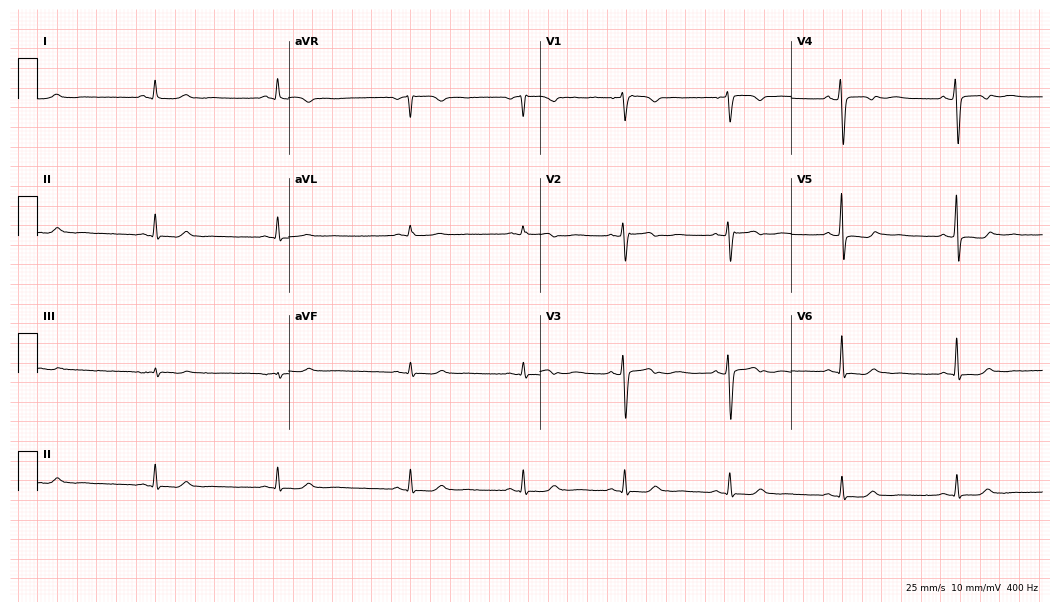
ECG — a 55-year-old female. Screened for six findings — first-degree AV block, right bundle branch block, left bundle branch block, sinus bradycardia, atrial fibrillation, sinus tachycardia — none is recorded.